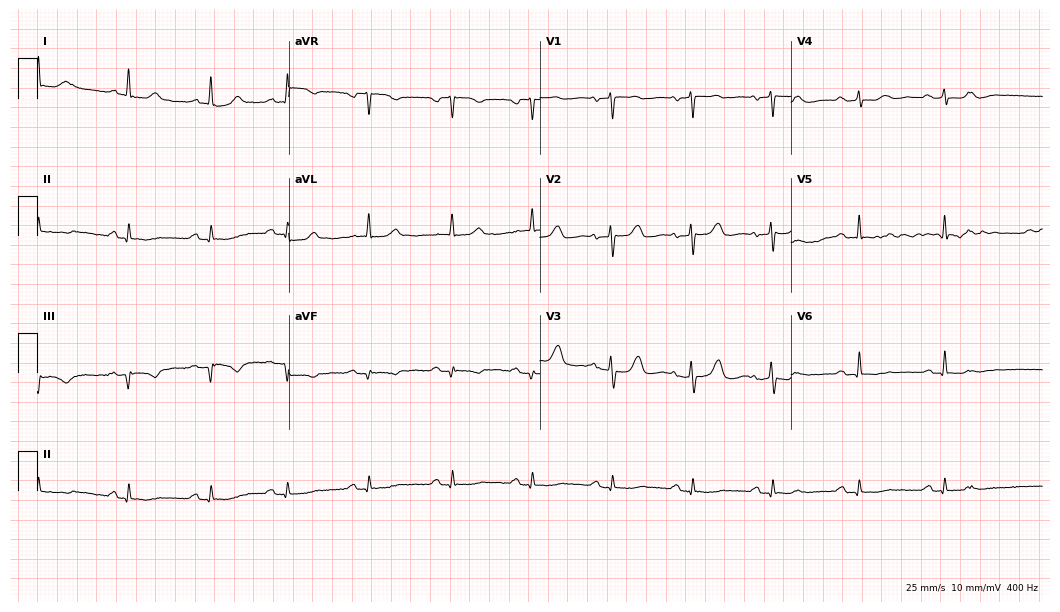
12-lead ECG from an 85-year-old female patient. Screened for six findings — first-degree AV block, right bundle branch block, left bundle branch block, sinus bradycardia, atrial fibrillation, sinus tachycardia — none is recorded. Findings outside these six are not listed.